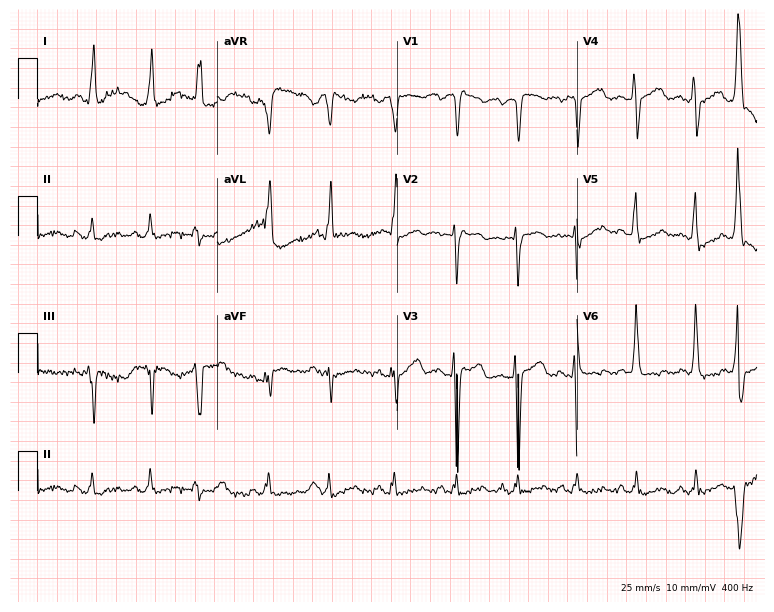
Electrocardiogram (7.3-second recording at 400 Hz), a female patient, 58 years old. Of the six screened findings (first-degree AV block, right bundle branch block, left bundle branch block, sinus bradycardia, atrial fibrillation, sinus tachycardia), none is recorded.